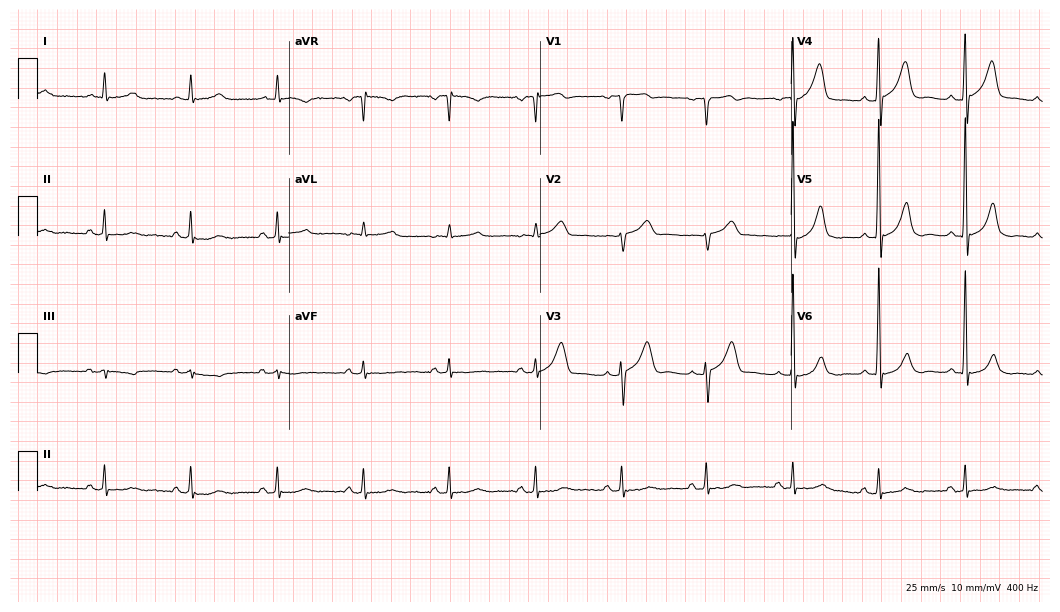
Standard 12-lead ECG recorded from a male, 72 years old (10.2-second recording at 400 Hz). None of these six findings is recorded: first-degree AV block, right bundle branch block, left bundle branch block, sinus bradycardia, atrial fibrillation, sinus tachycardia.